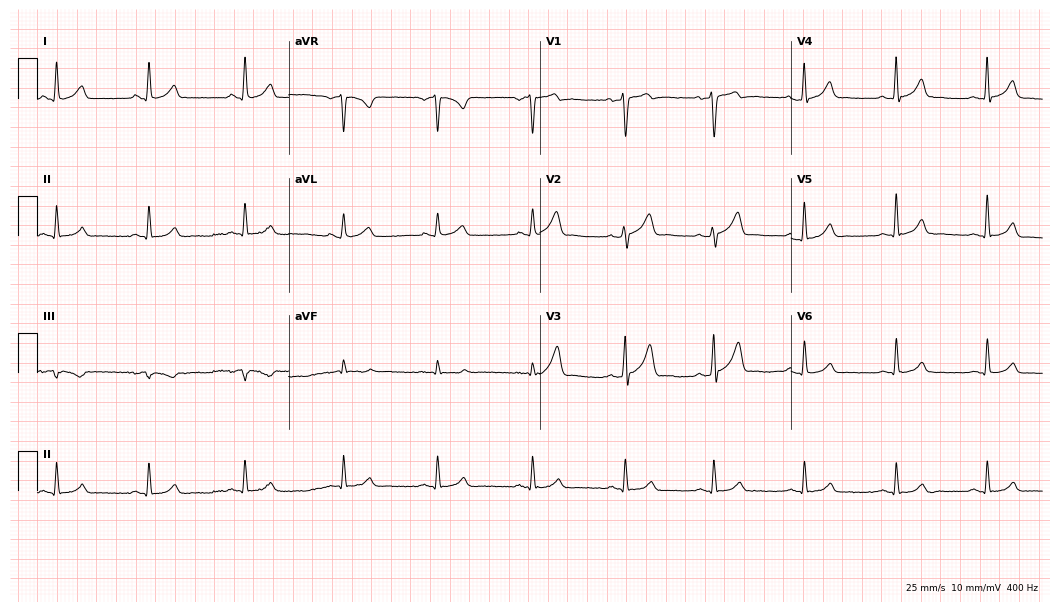
Standard 12-lead ECG recorded from a 26-year-old male patient (10.2-second recording at 400 Hz). Read as a normal ECG.